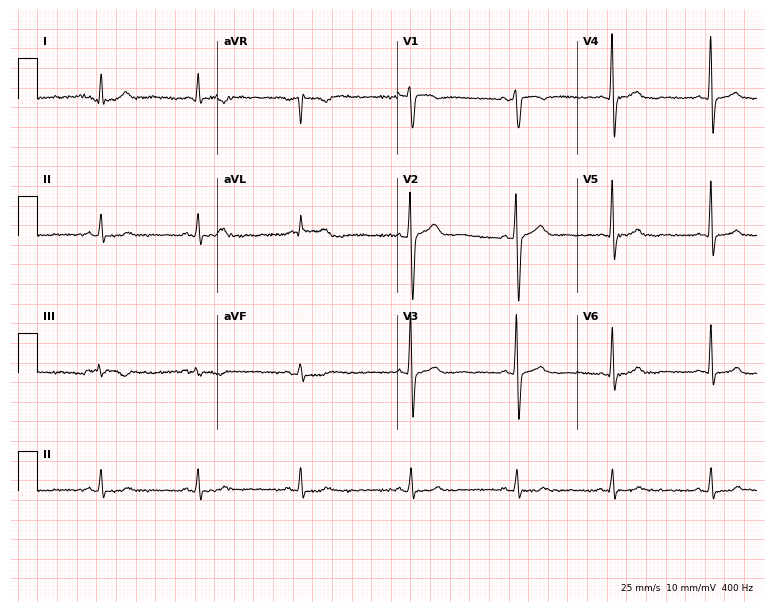
ECG (7.3-second recording at 400 Hz) — a female, 37 years old. Screened for six findings — first-degree AV block, right bundle branch block, left bundle branch block, sinus bradycardia, atrial fibrillation, sinus tachycardia — none is recorded. Only these six findings were labelled.